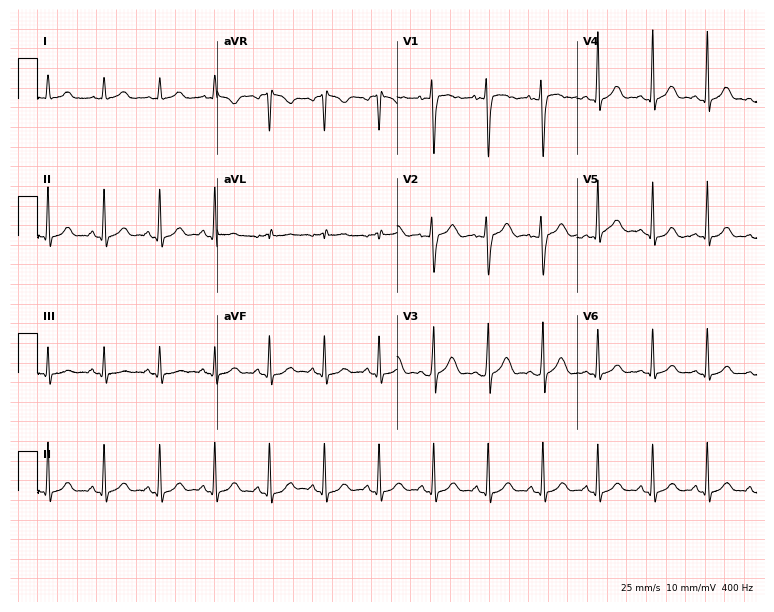
12-lead ECG from a 21-year-old female (7.3-second recording at 400 Hz). Shows sinus tachycardia (a sinus rate of 100 beats per minute or more).